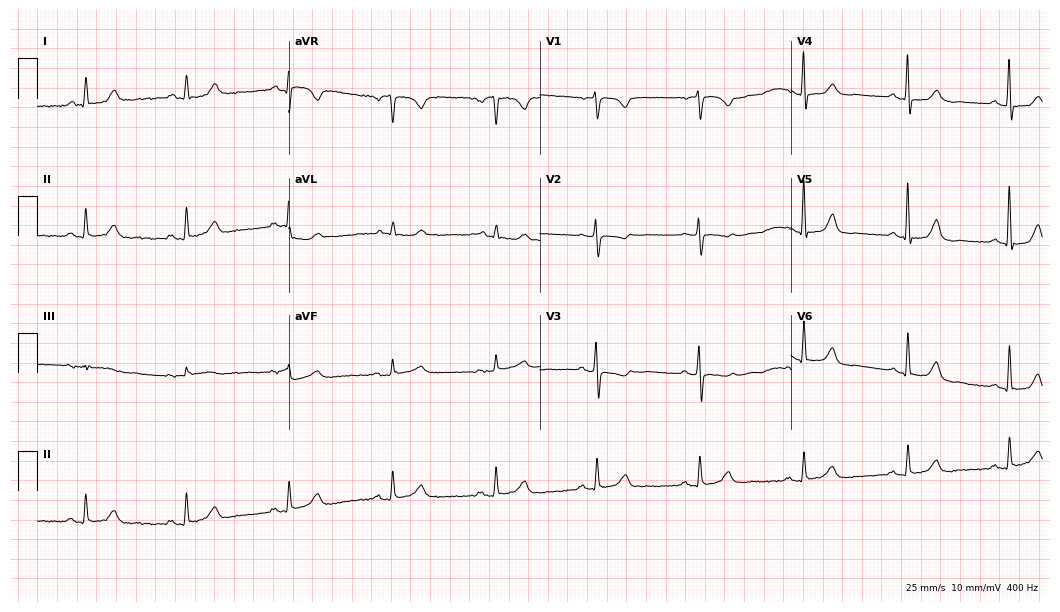
Standard 12-lead ECG recorded from a female patient, 77 years old (10.2-second recording at 400 Hz). None of these six findings is recorded: first-degree AV block, right bundle branch block (RBBB), left bundle branch block (LBBB), sinus bradycardia, atrial fibrillation (AF), sinus tachycardia.